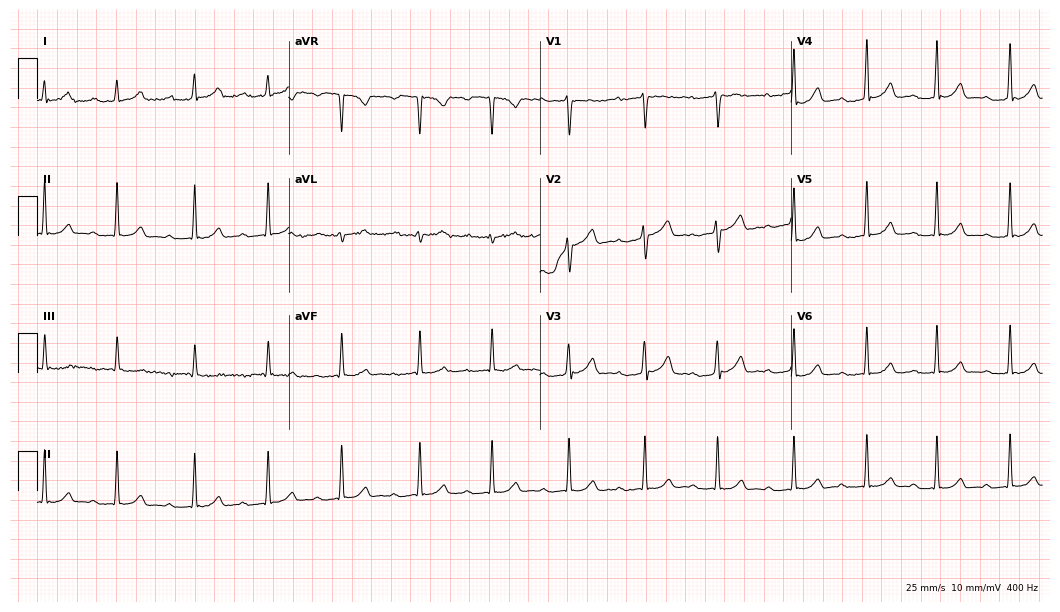
Electrocardiogram, a female patient, 32 years old. Overall reading on record: normal ECG.